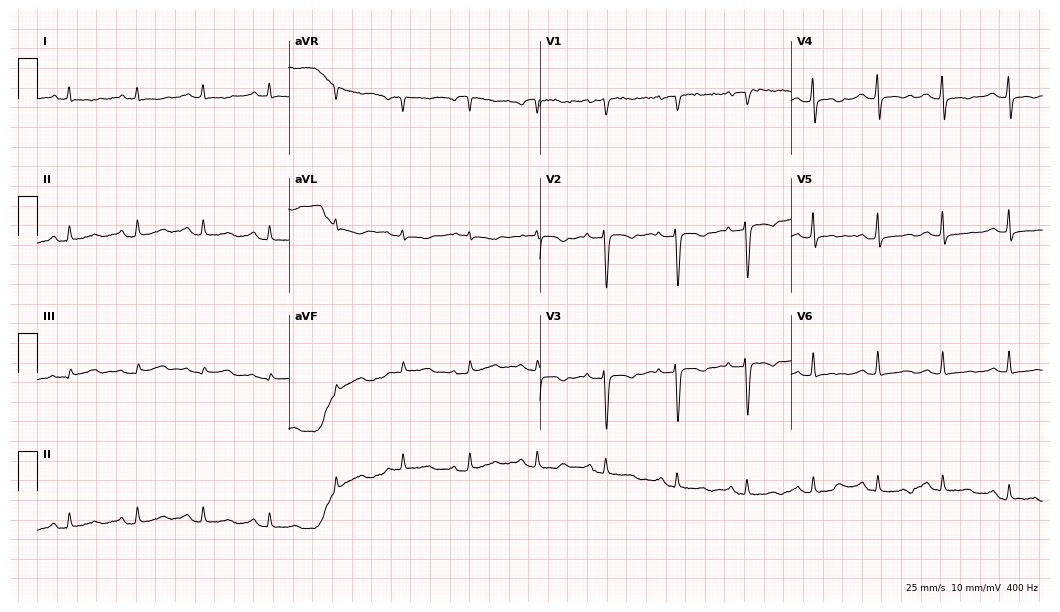
Resting 12-lead electrocardiogram (10.2-second recording at 400 Hz). Patient: a 36-year-old female. None of these six findings is recorded: first-degree AV block, right bundle branch block (RBBB), left bundle branch block (LBBB), sinus bradycardia, atrial fibrillation (AF), sinus tachycardia. Findings outside these six are not listed.